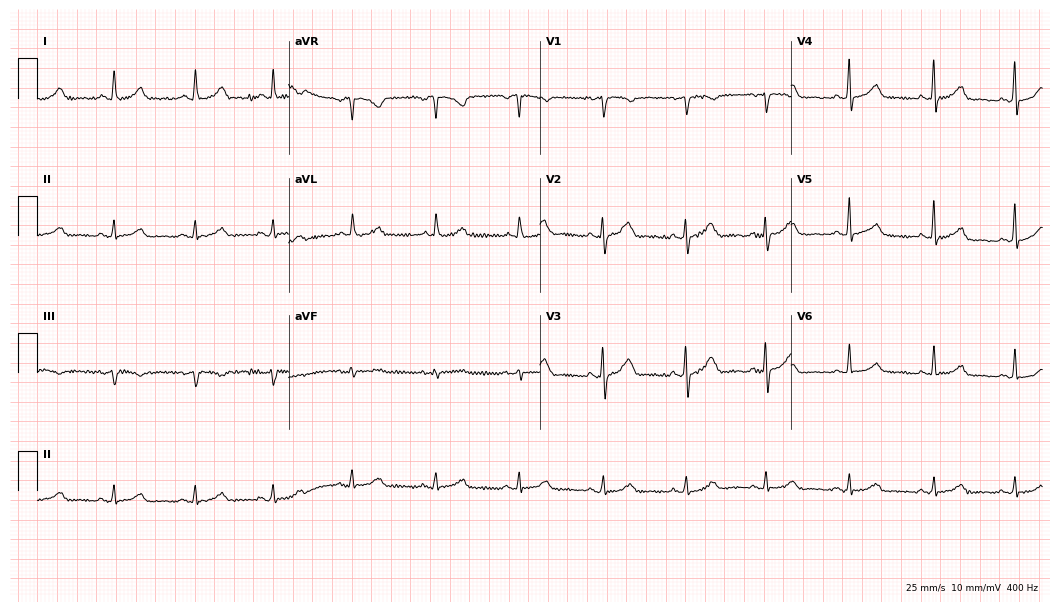
12-lead ECG from a woman, 46 years old. Recorded interpretation: within normal limits.